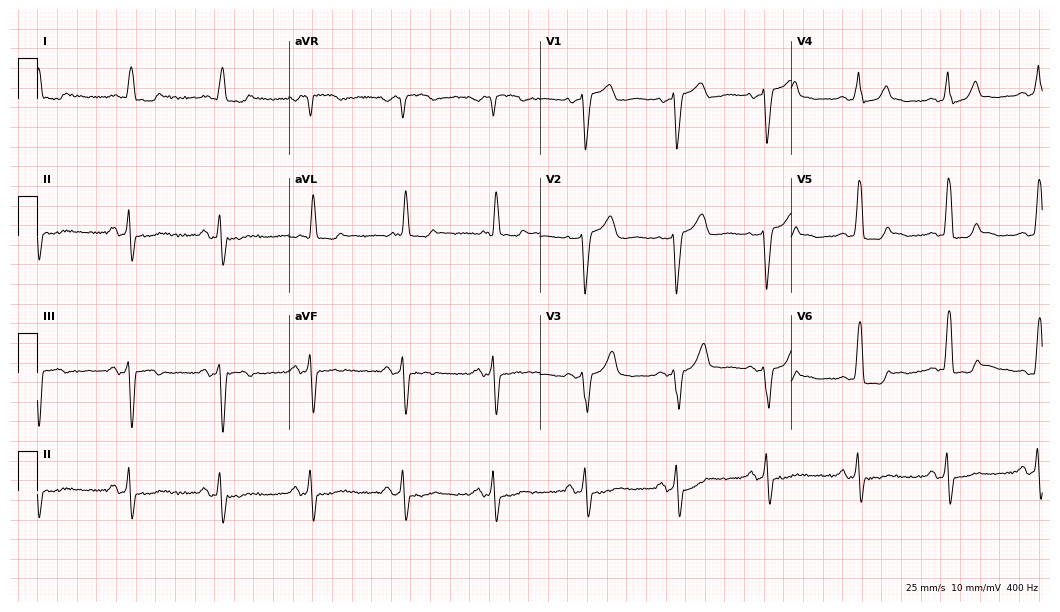
Standard 12-lead ECG recorded from a woman, 74 years old. The tracing shows left bundle branch block.